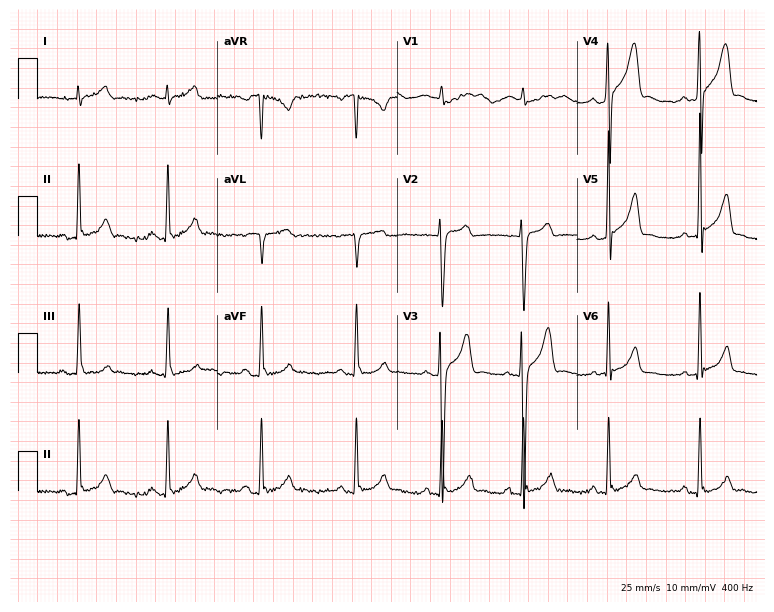
Standard 12-lead ECG recorded from a male patient, 19 years old (7.3-second recording at 400 Hz). Read as a normal ECG.